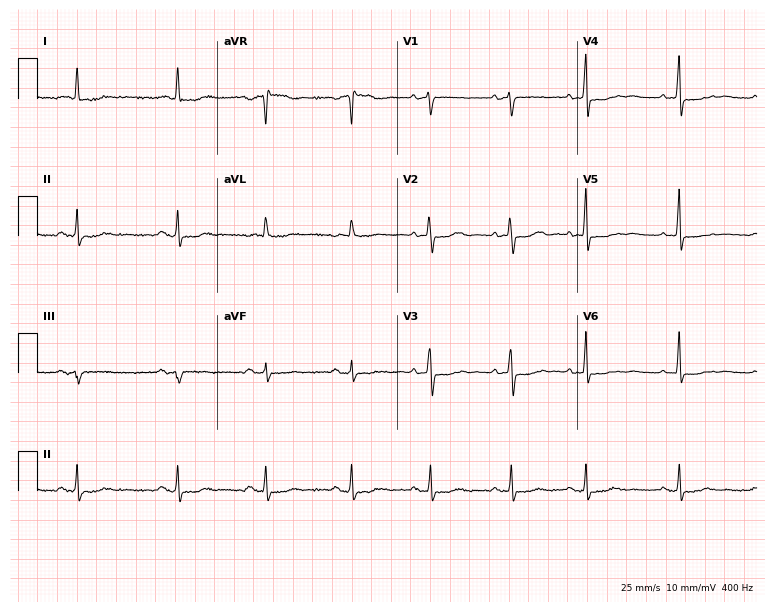
ECG — a female patient, 76 years old. Screened for six findings — first-degree AV block, right bundle branch block, left bundle branch block, sinus bradycardia, atrial fibrillation, sinus tachycardia — none is recorded.